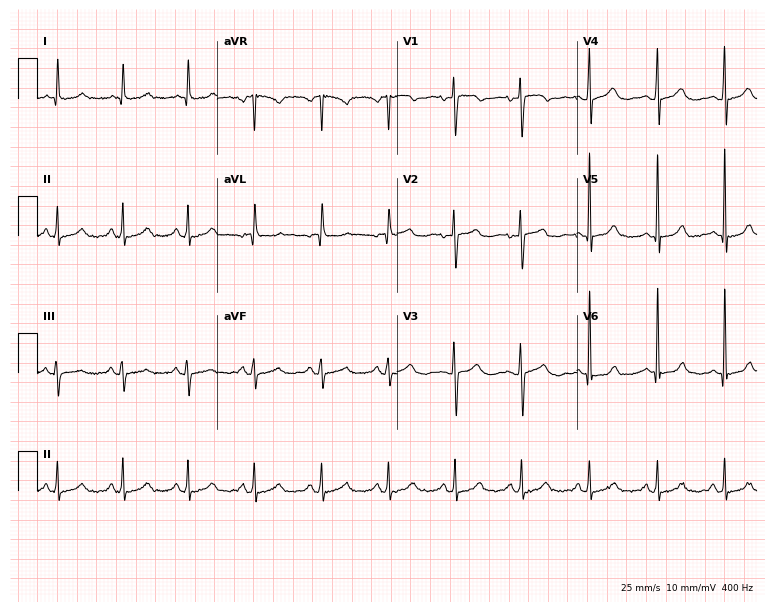
ECG — a female patient, 54 years old. Labelled as a normal ECG.